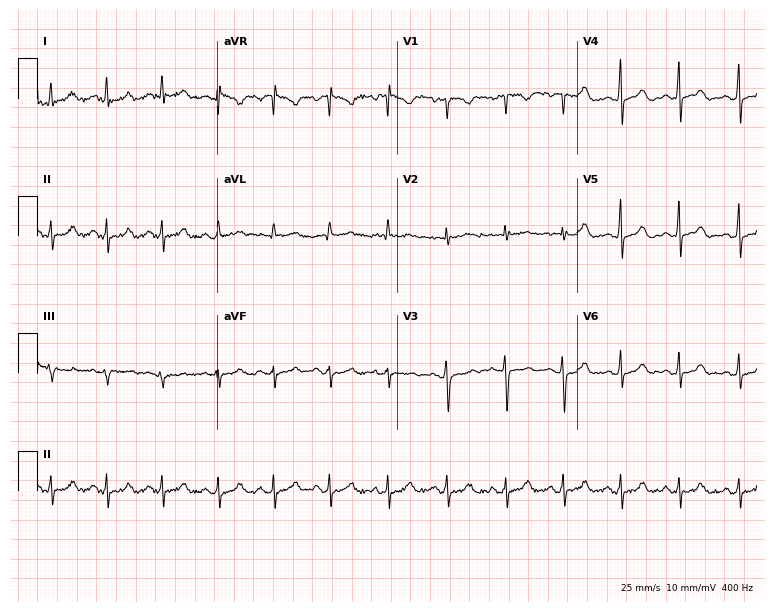
12-lead ECG from a woman, 30 years old. Screened for six findings — first-degree AV block, right bundle branch block, left bundle branch block, sinus bradycardia, atrial fibrillation, sinus tachycardia — none is recorded. Findings outside these six are not listed.